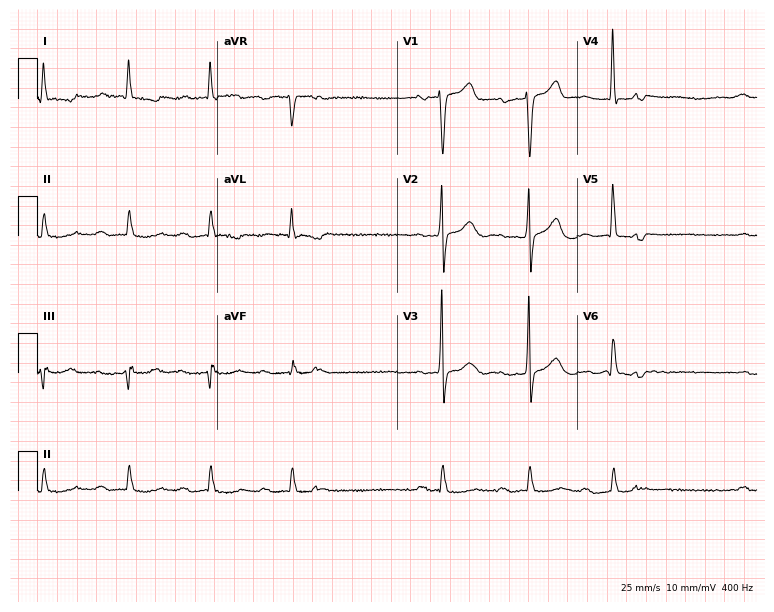
12-lead ECG (7.3-second recording at 400 Hz) from a 69-year-old male. Findings include first-degree AV block, atrial fibrillation.